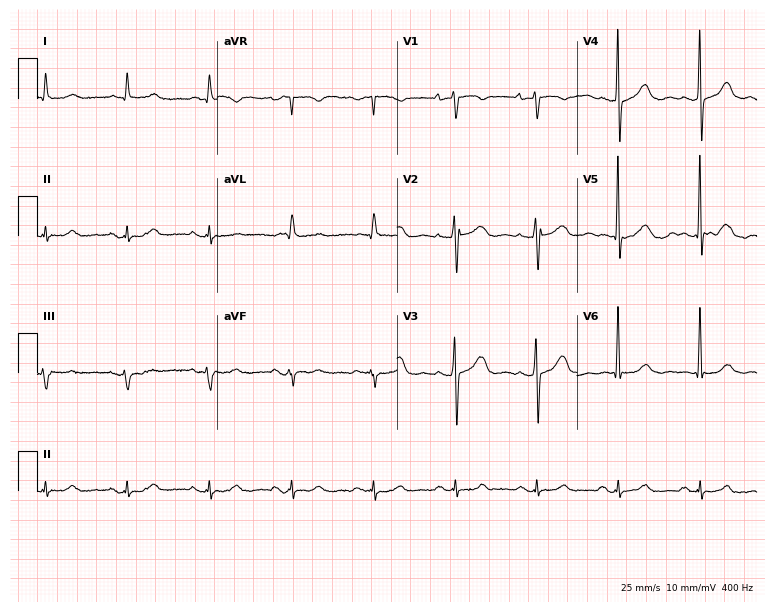
12-lead ECG from a female patient, 80 years old. Screened for six findings — first-degree AV block, right bundle branch block, left bundle branch block, sinus bradycardia, atrial fibrillation, sinus tachycardia — none is recorded. Other findings, if any, are not listed.